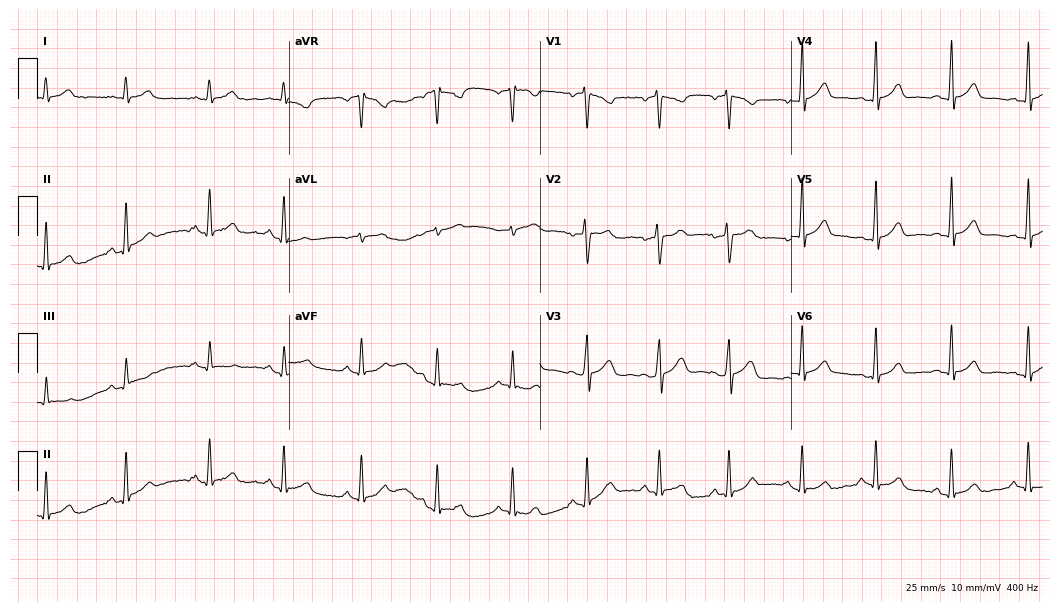
ECG — a female, 34 years old. Labelled as a normal ECG.